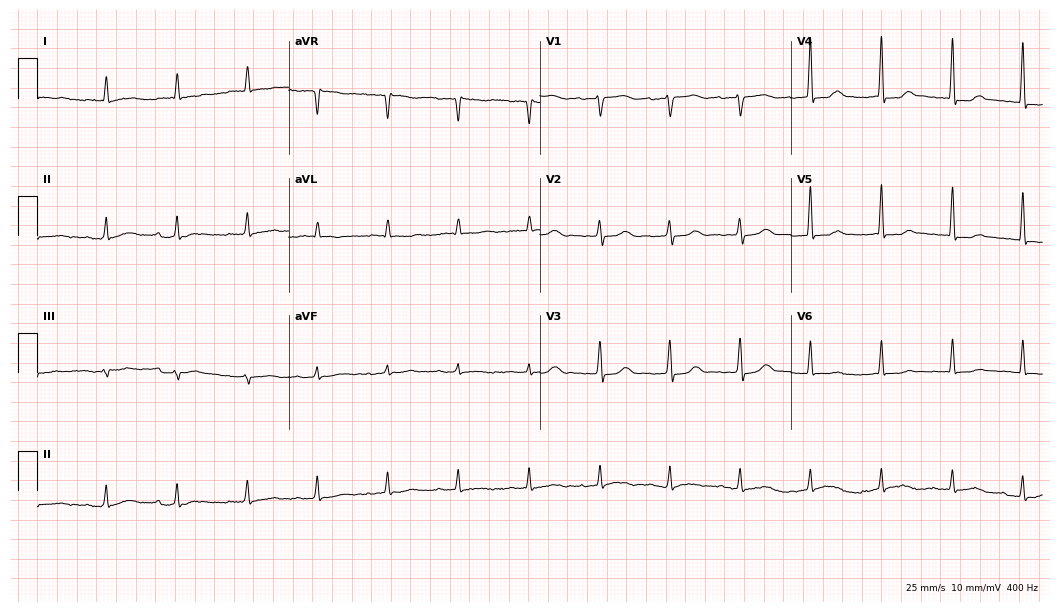
Electrocardiogram (10.2-second recording at 400 Hz), an 85-year-old woman. Of the six screened findings (first-degree AV block, right bundle branch block, left bundle branch block, sinus bradycardia, atrial fibrillation, sinus tachycardia), none is recorded. Only these six findings were labelled.